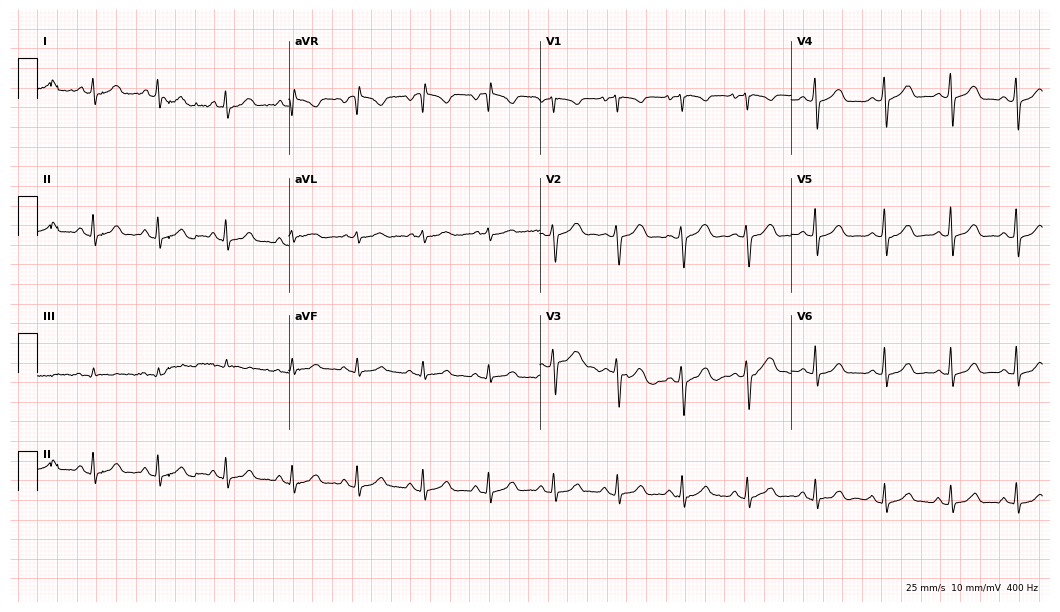
12-lead ECG (10.2-second recording at 400 Hz) from a female, 28 years old. Labelled as a normal ECG.